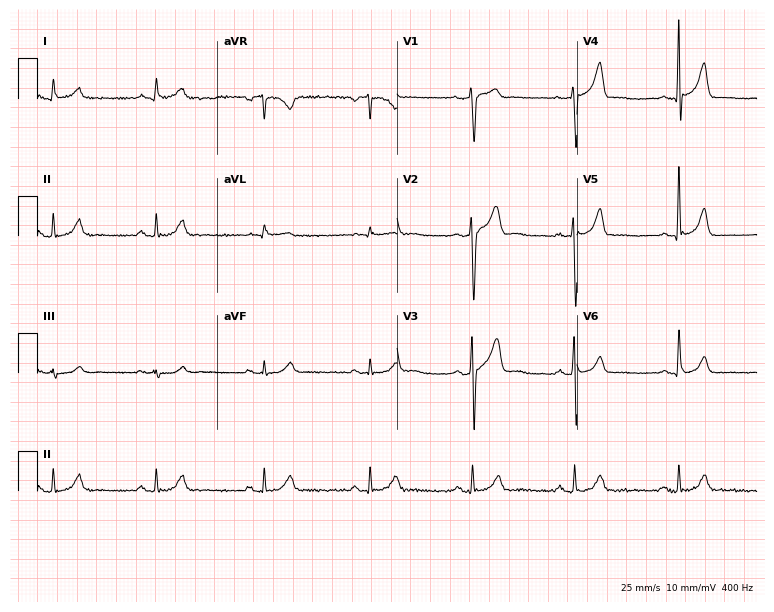
12-lead ECG from a 48-year-old male patient. Screened for six findings — first-degree AV block, right bundle branch block, left bundle branch block, sinus bradycardia, atrial fibrillation, sinus tachycardia — none is recorded. Only these six findings were labelled.